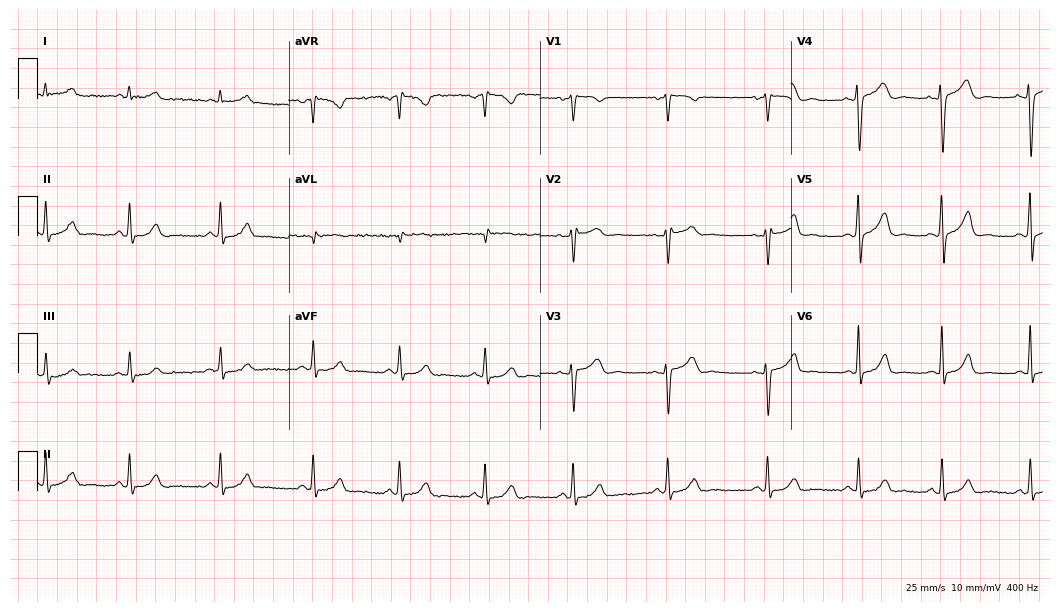
12-lead ECG from a 33-year-old woman (10.2-second recording at 400 Hz). Recorded interpretation: within normal limits.